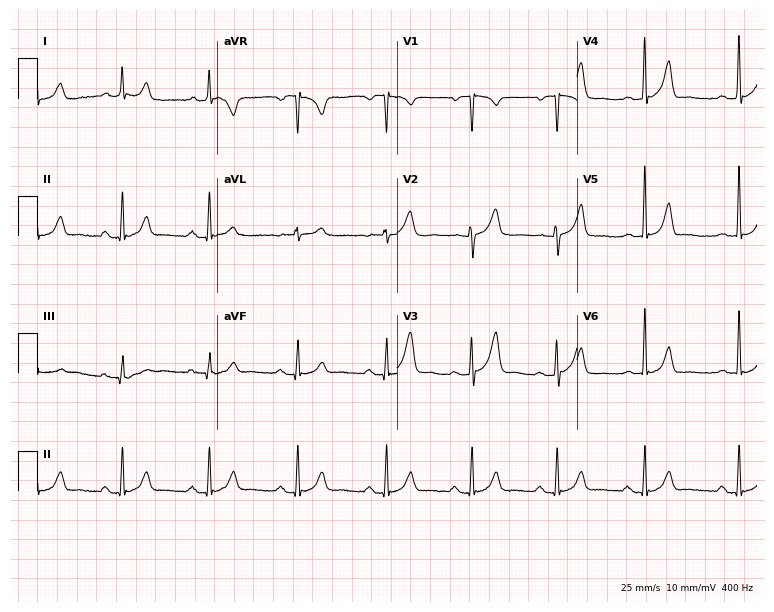
Standard 12-lead ECG recorded from a 75-year-old male patient. Read as a normal ECG.